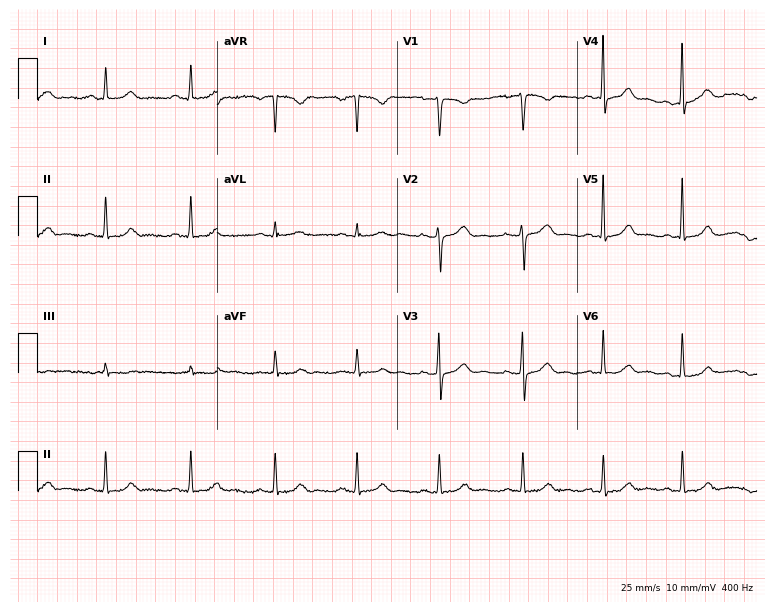
Electrocardiogram, a female, 36 years old. Overall reading on record: normal ECG.